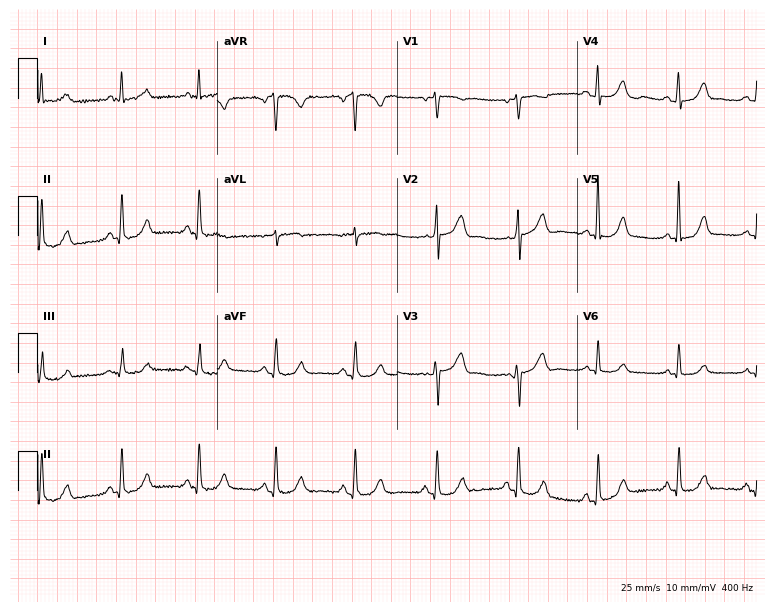
Electrocardiogram (7.3-second recording at 400 Hz), a 66-year-old female. Overall reading on record: normal ECG.